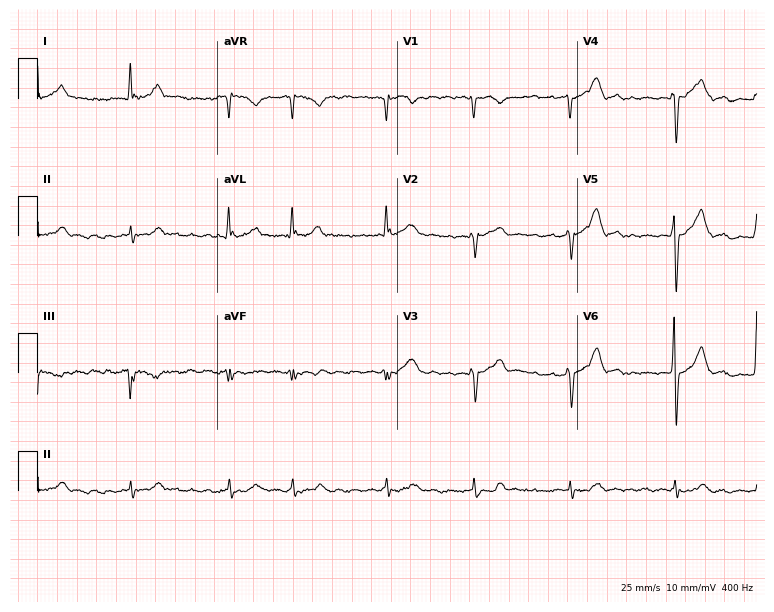
12-lead ECG from a man, 80 years old. Shows atrial fibrillation (AF).